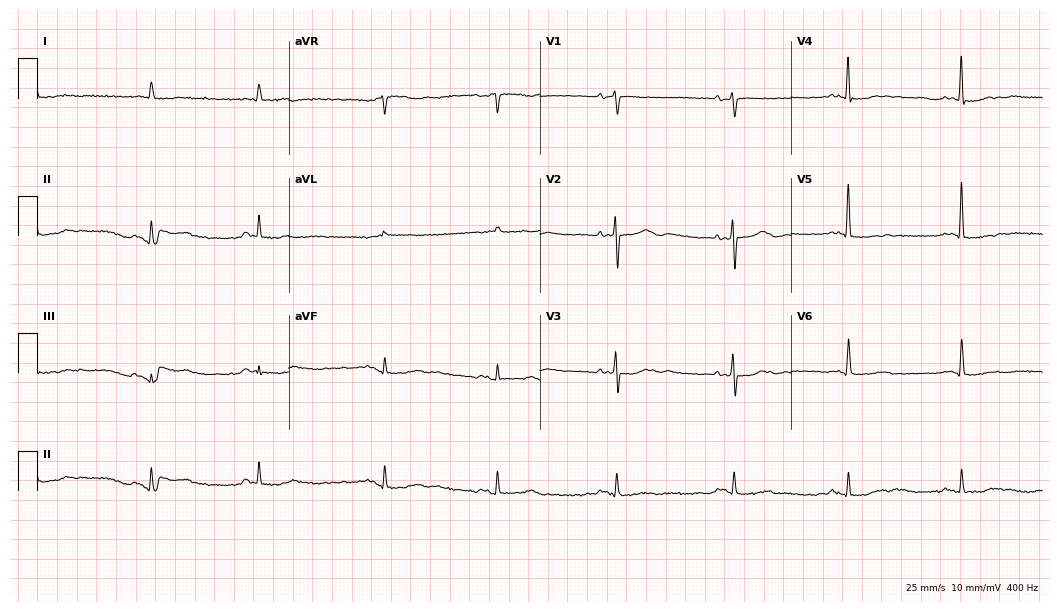
Resting 12-lead electrocardiogram (10.2-second recording at 400 Hz). Patient: an 82-year-old male. None of these six findings is recorded: first-degree AV block, right bundle branch block, left bundle branch block, sinus bradycardia, atrial fibrillation, sinus tachycardia.